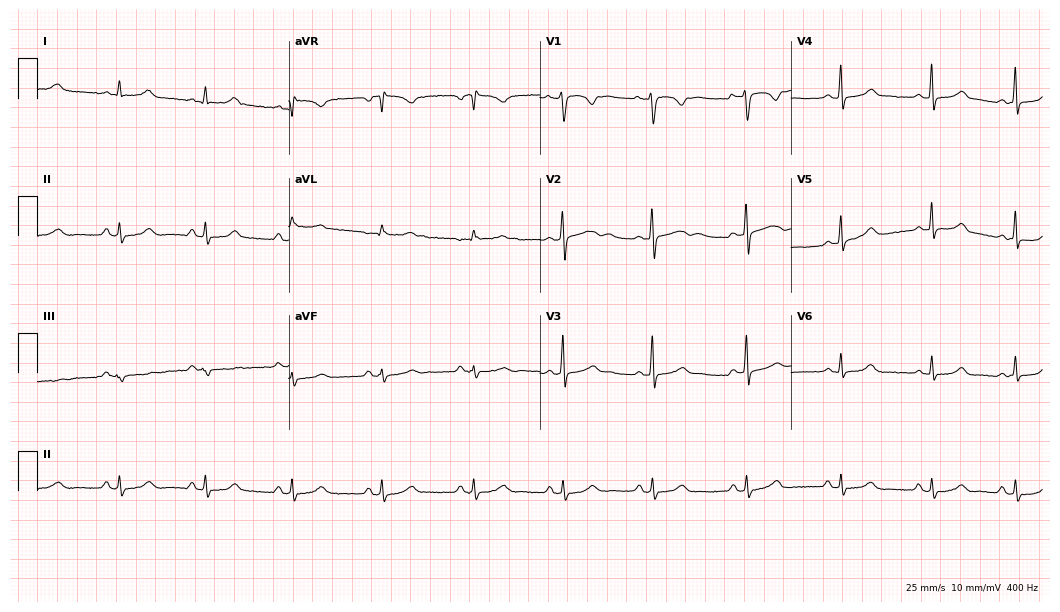
Electrocardiogram (10.2-second recording at 400 Hz), a 36-year-old female patient. Overall reading on record: normal ECG.